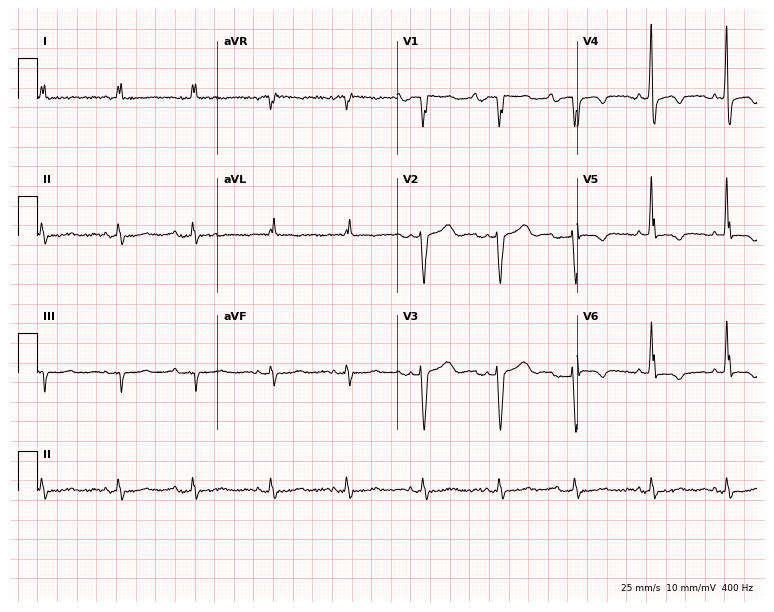
ECG (7.3-second recording at 400 Hz) — a male, 67 years old. Screened for six findings — first-degree AV block, right bundle branch block (RBBB), left bundle branch block (LBBB), sinus bradycardia, atrial fibrillation (AF), sinus tachycardia — none is recorded. Other findings, if any, are not listed.